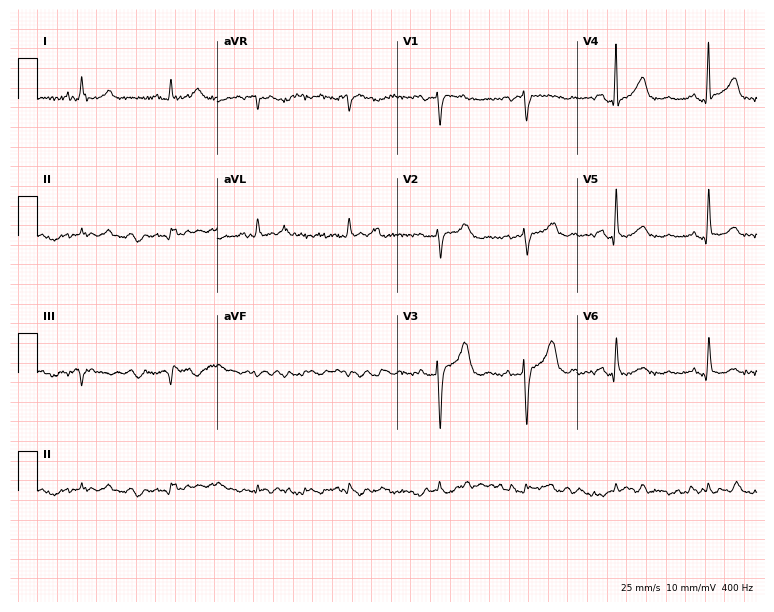
Electrocardiogram, a 72-year-old female. Of the six screened findings (first-degree AV block, right bundle branch block (RBBB), left bundle branch block (LBBB), sinus bradycardia, atrial fibrillation (AF), sinus tachycardia), none is recorded. Findings outside these six are not listed.